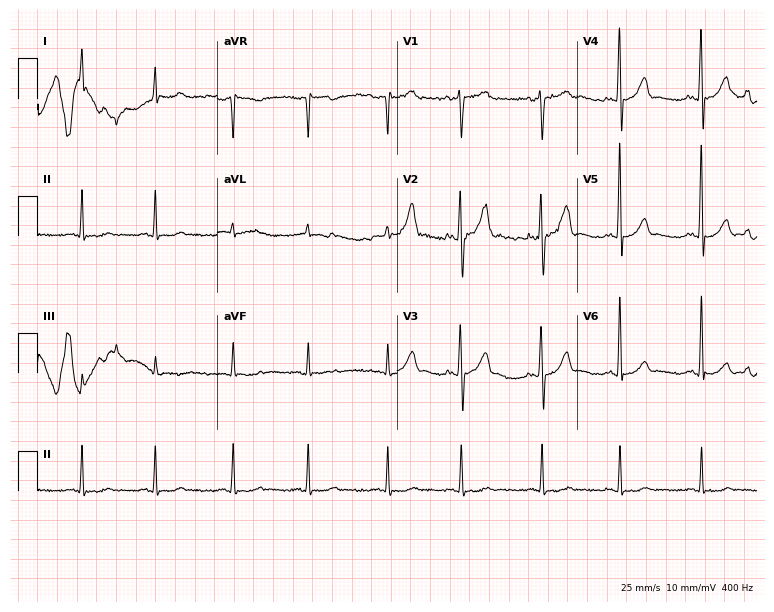
12-lead ECG (7.3-second recording at 400 Hz) from a 60-year-old male patient. Screened for six findings — first-degree AV block, right bundle branch block, left bundle branch block, sinus bradycardia, atrial fibrillation, sinus tachycardia — none is recorded. Only these six findings were labelled.